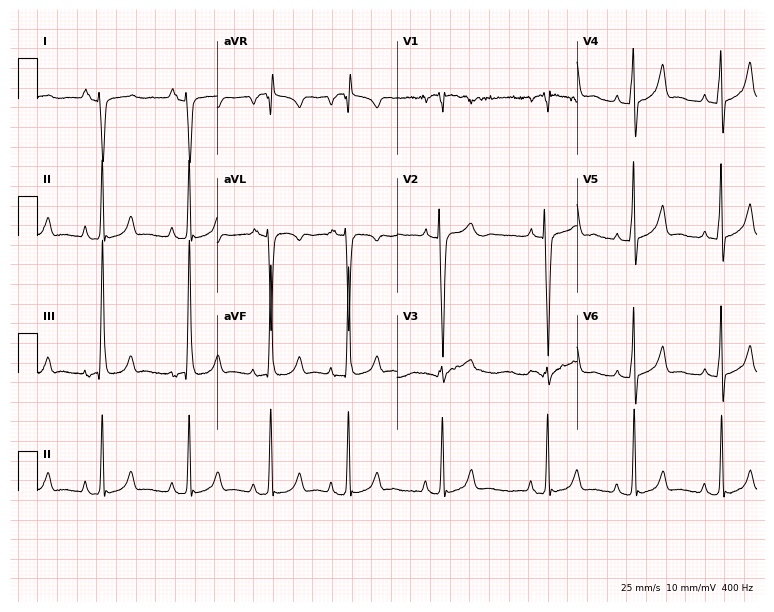
Electrocardiogram, a 21-year-old female. Of the six screened findings (first-degree AV block, right bundle branch block, left bundle branch block, sinus bradycardia, atrial fibrillation, sinus tachycardia), none is recorded.